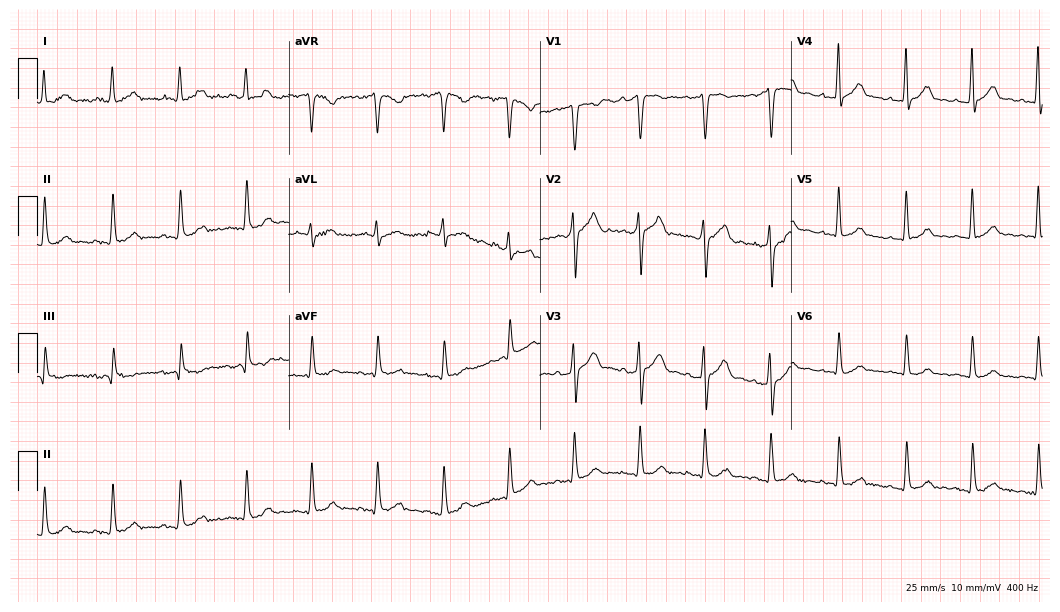
12-lead ECG from a man, 42 years old. Recorded interpretation: within normal limits.